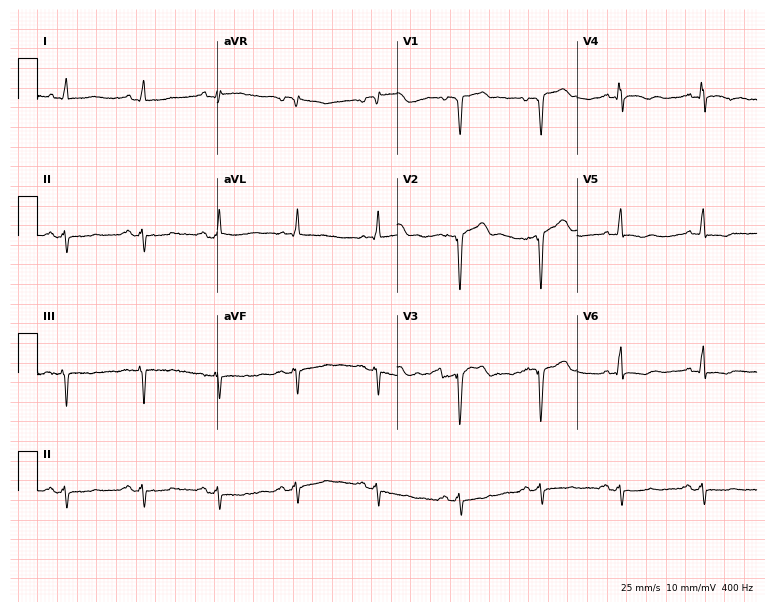
Resting 12-lead electrocardiogram. Patient: a man, 64 years old. None of these six findings is recorded: first-degree AV block, right bundle branch block (RBBB), left bundle branch block (LBBB), sinus bradycardia, atrial fibrillation (AF), sinus tachycardia.